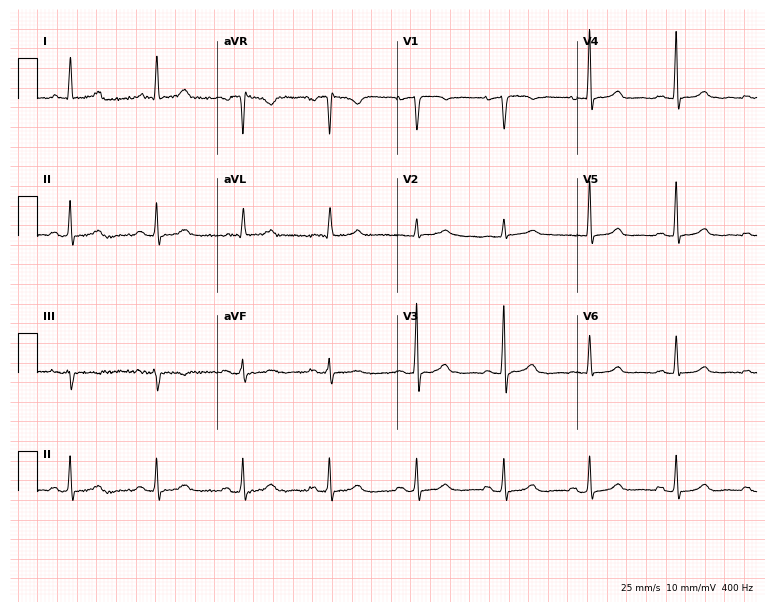
Electrocardiogram, a female, 69 years old. Overall reading on record: normal ECG.